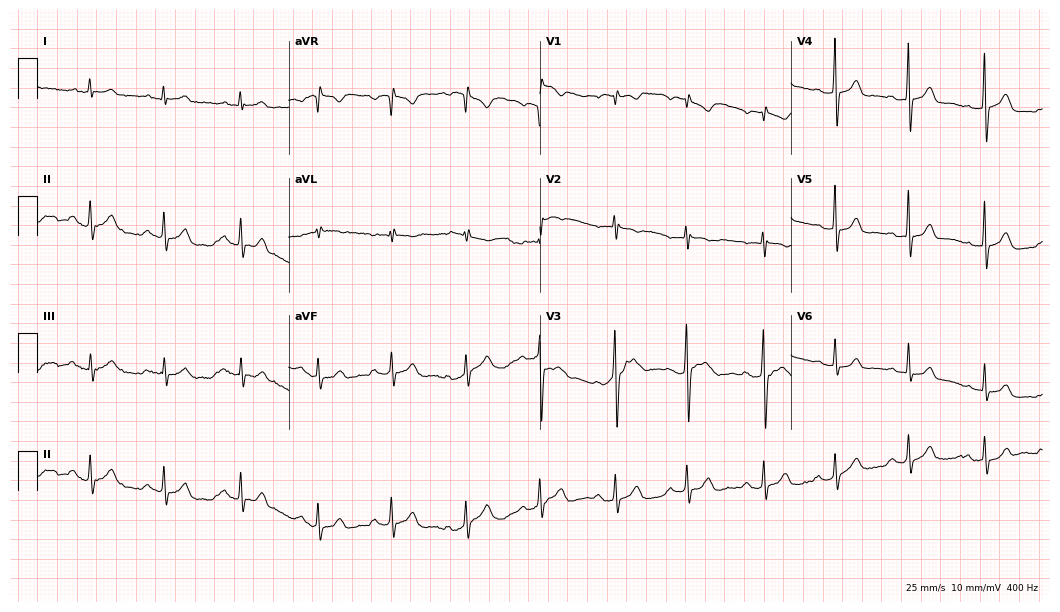
12-lead ECG from a woman, 22 years old. Recorded interpretation: within normal limits.